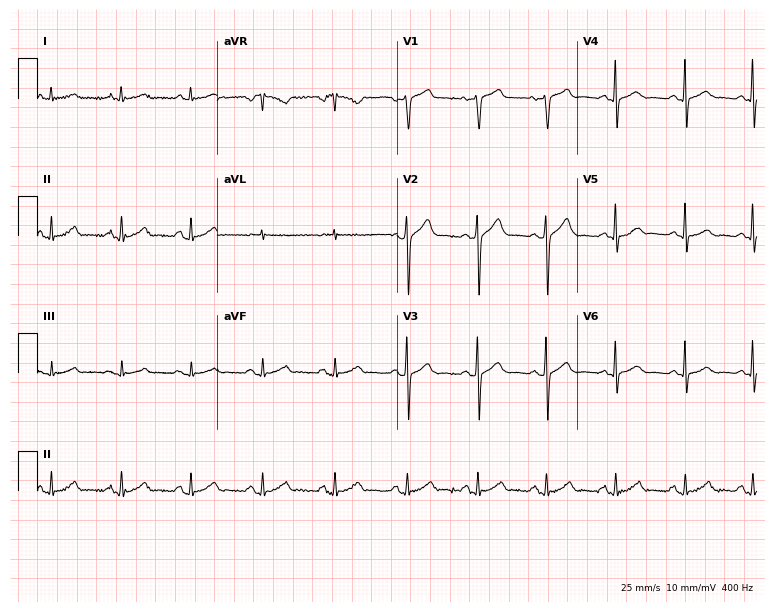
Electrocardiogram, a male, 50 years old. Overall reading on record: normal ECG.